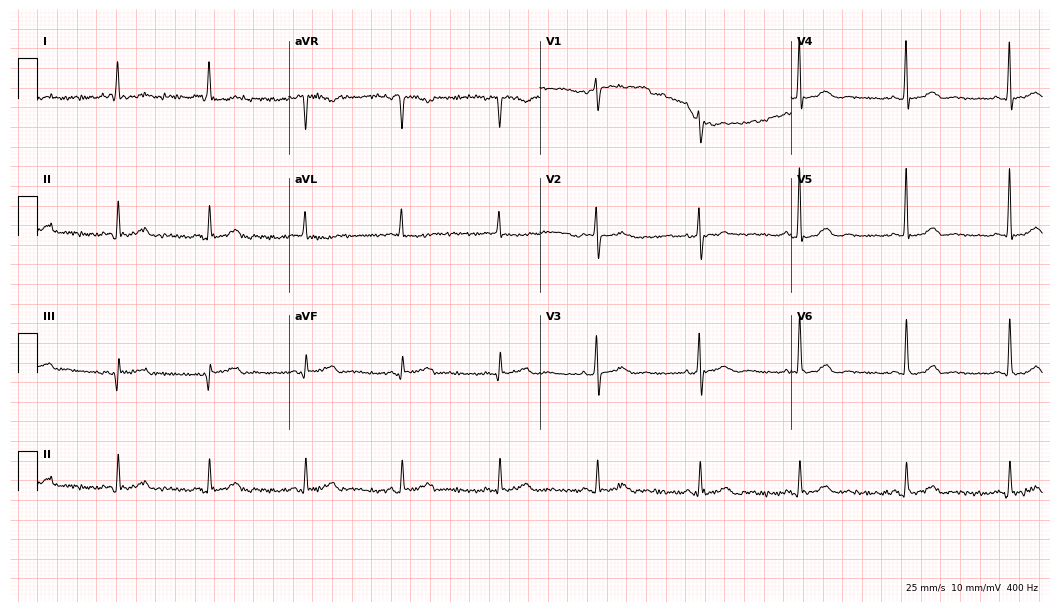
12-lead ECG from a woman, 61 years old. Recorded interpretation: within normal limits.